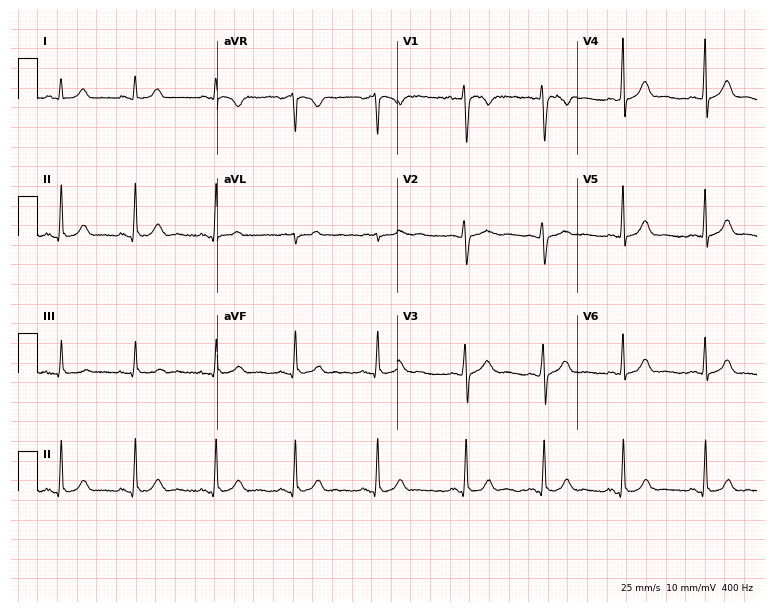
12-lead ECG from a woman, 22 years old (7.3-second recording at 400 Hz). No first-degree AV block, right bundle branch block, left bundle branch block, sinus bradycardia, atrial fibrillation or sinus tachycardia recorded for this tracing. Other findings, if any, are not listed.